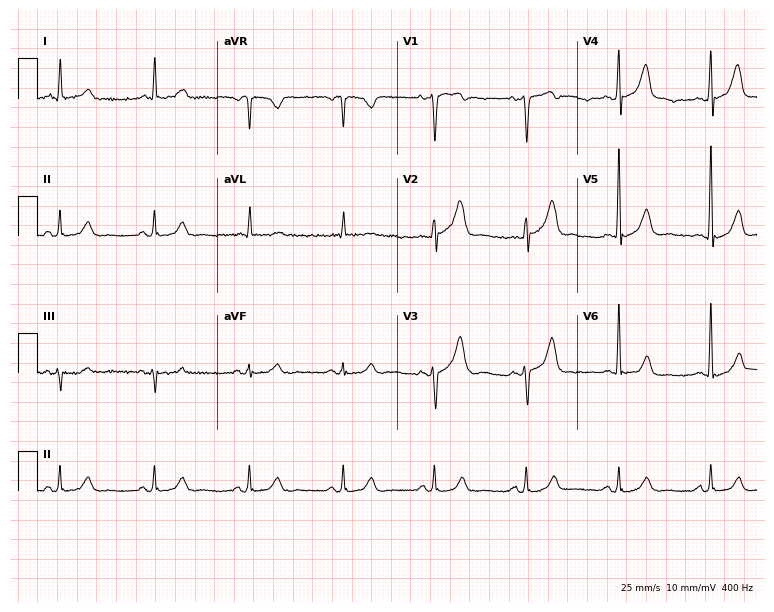
Resting 12-lead electrocardiogram (7.3-second recording at 400 Hz). Patient: a male, 85 years old. Read as a normal ECG.